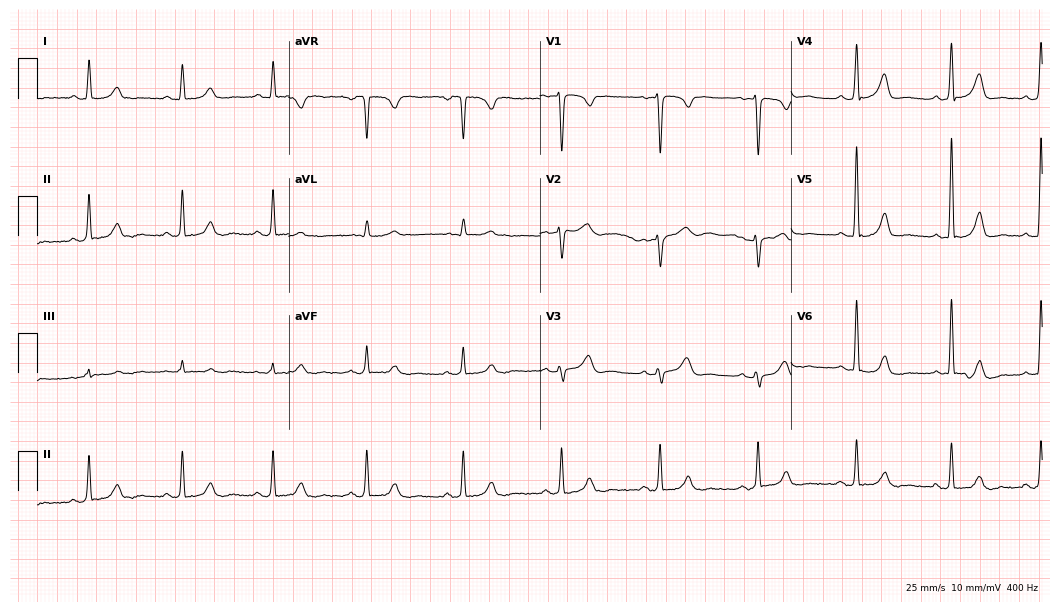
Standard 12-lead ECG recorded from a female patient, 36 years old (10.2-second recording at 400 Hz). Read as a normal ECG.